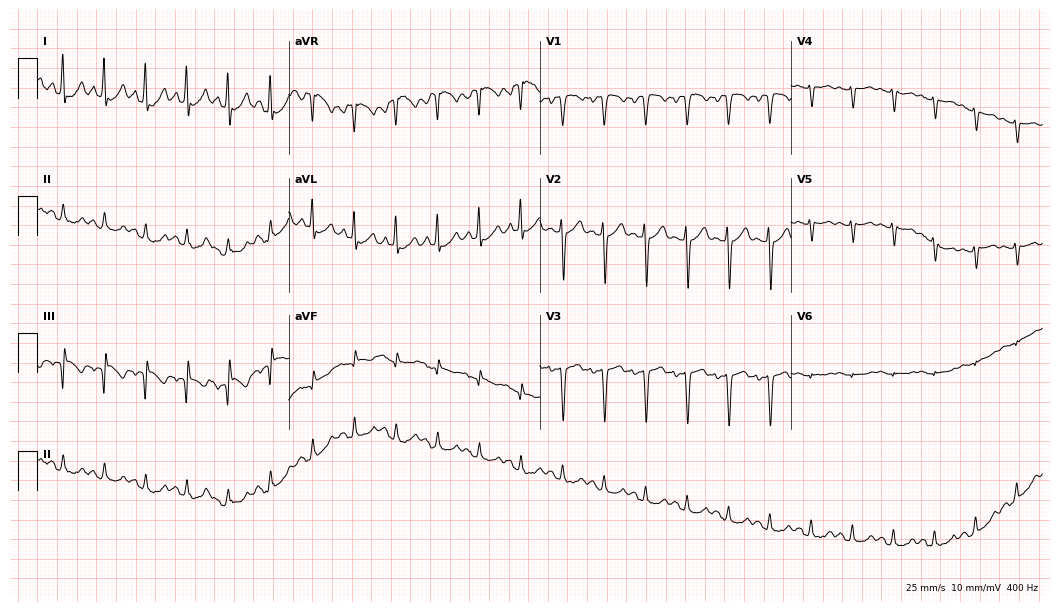
12-lead ECG from a 50-year-old female patient. No first-degree AV block, right bundle branch block (RBBB), left bundle branch block (LBBB), sinus bradycardia, atrial fibrillation (AF) or sinus tachycardia recorded for this tracing.